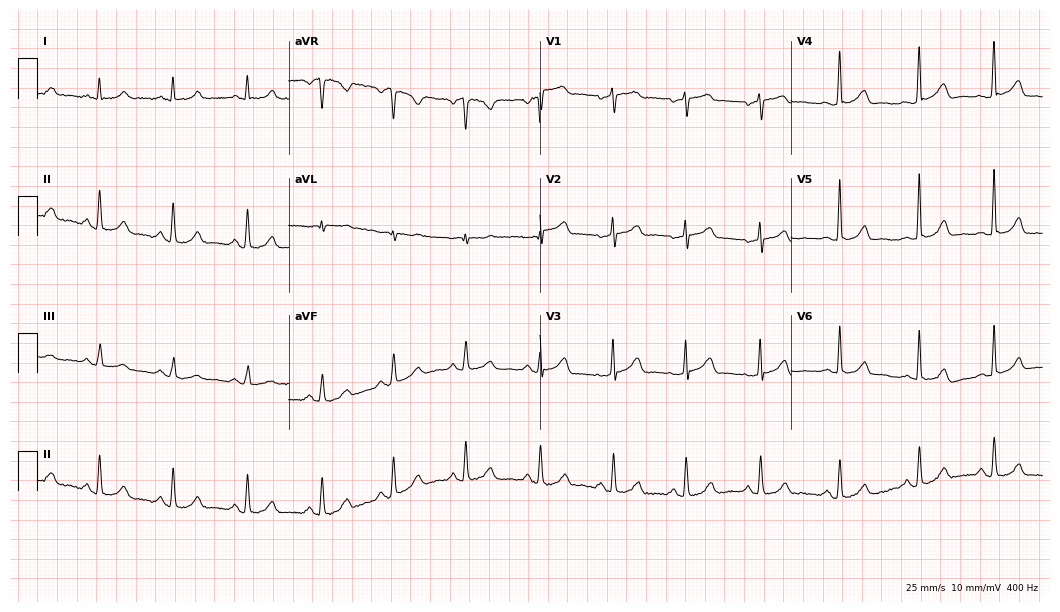
Electrocardiogram (10.2-second recording at 400 Hz), a 72-year-old female. Overall reading on record: normal ECG.